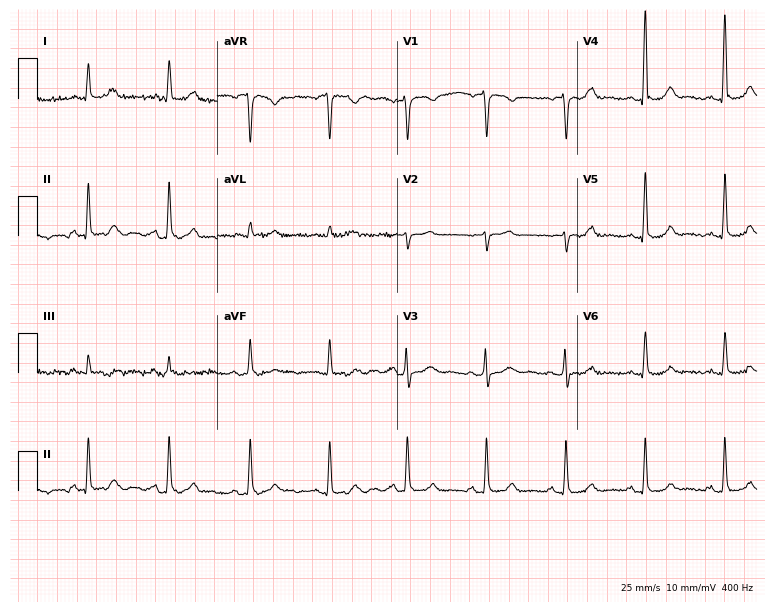
12-lead ECG from a 54-year-old female. Labelled as a normal ECG.